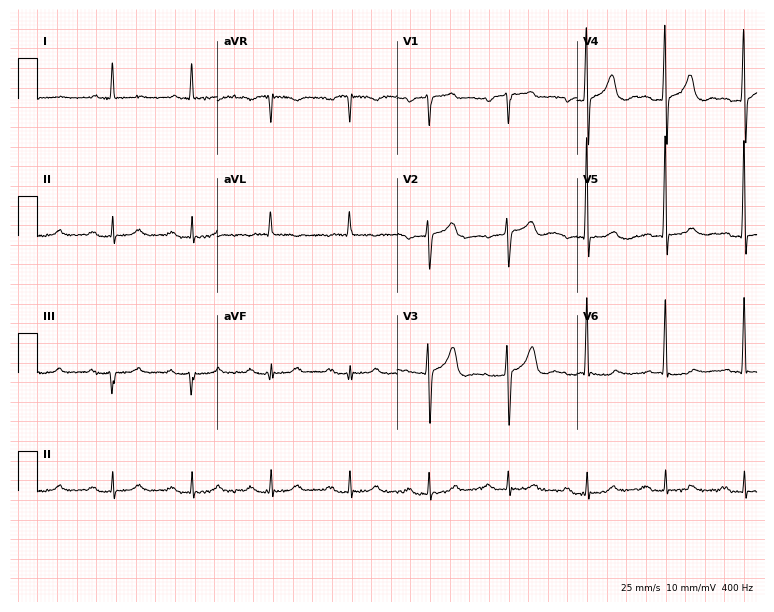
12-lead ECG (7.3-second recording at 400 Hz) from a man, 80 years old. Screened for six findings — first-degree AV block, right bundle branch block, left bundle branch block, sinus bradycardia, atrial fibrillation, sinus tachycardia — none is recorded. Other findings, if any, are not listed.